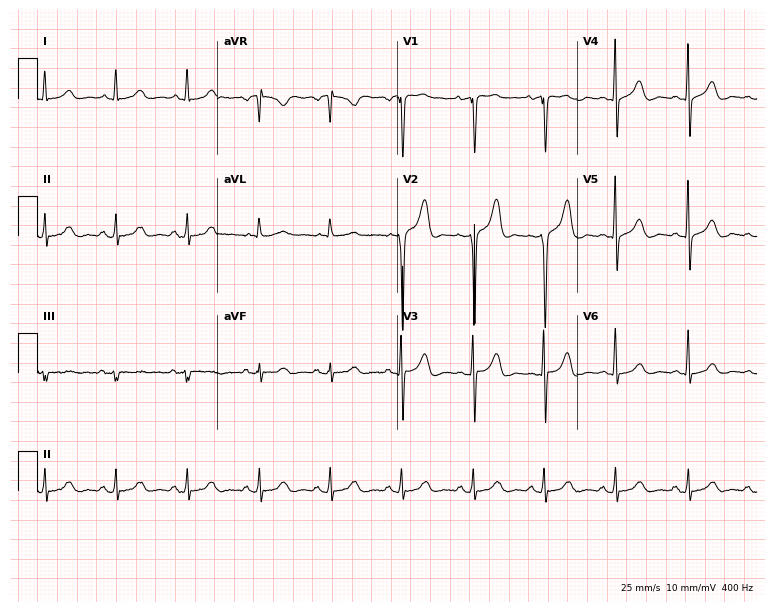
12-lead ECG (7.3-second recording at 400 Hz) from a 77-year-old female. Labelled as a normal ECG.